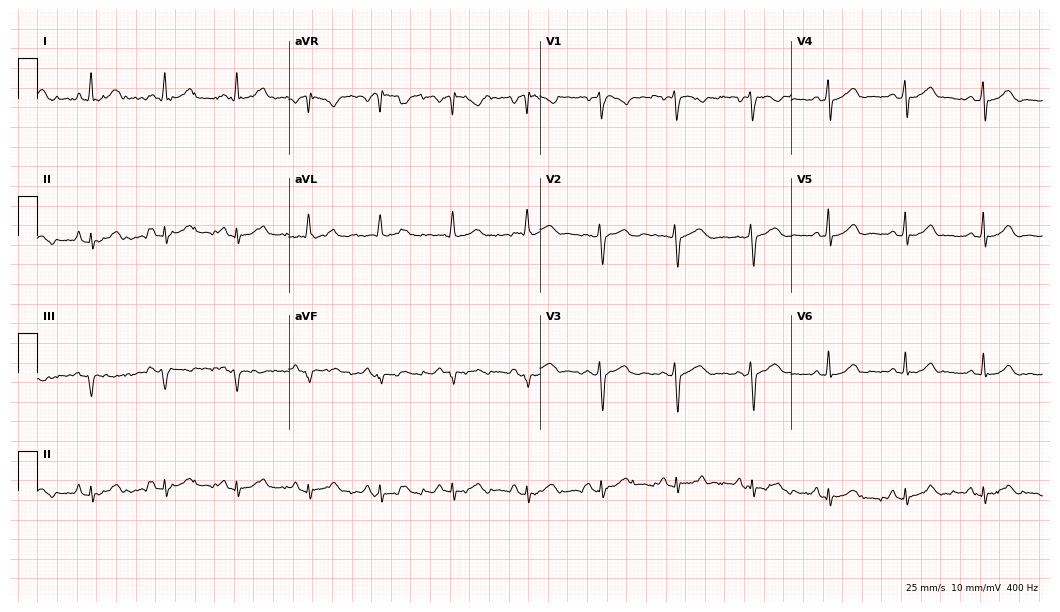
12-lead ECG from a female patient, 64 years old. Recorded interpretation: within normal limits.